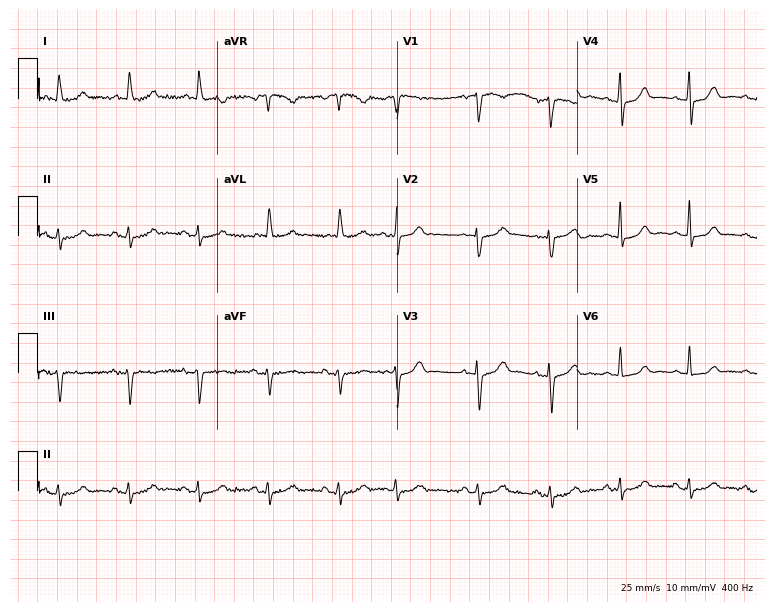
ECG — a 74-year-old woman. Labelled as a normal ECG.